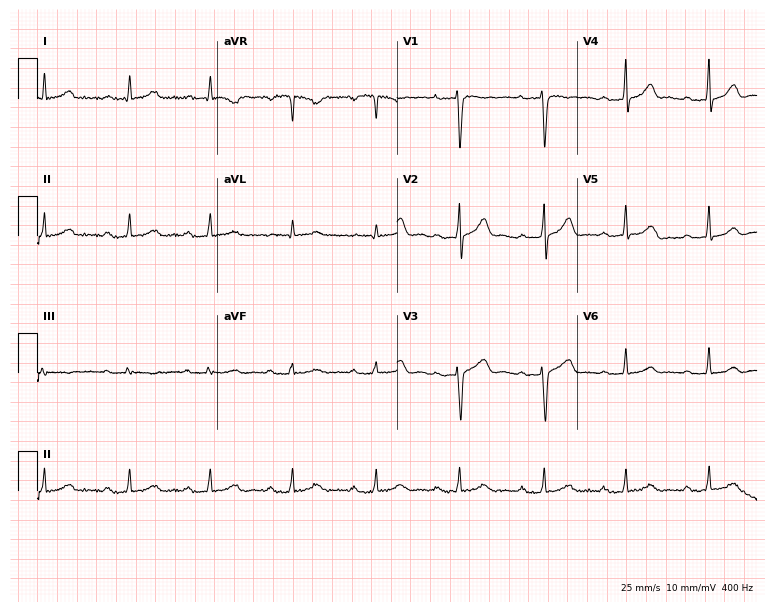
Resting 12-lead electrocardiogram (7.3-second recording at 400 Hz). Patient: a 39-year-old woman. None of these six findings is recorded: first-degree AV block, right bundle branch block, left bundle branch block, sinus bradycardia, atrial fibrillation, sinus tachycardia. Findings outside these six are not listed.